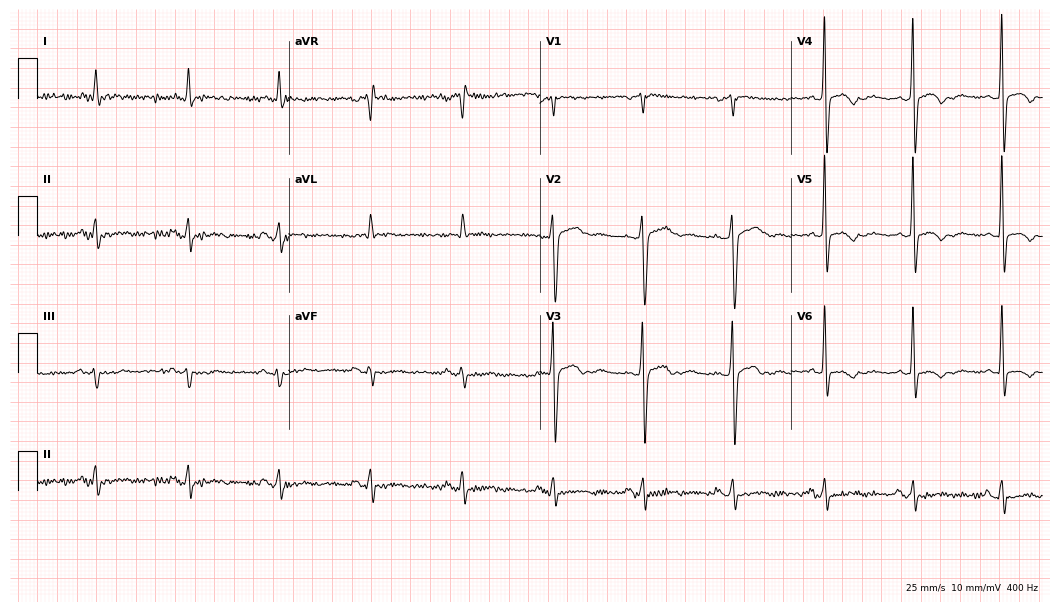
ECG — a man, 69 years old. Screened for six findings — first-degree AV block, right bundle branch block (RBBB), left bundle branch block (LBBB), sinus bradycardia, atrial fibrillation (AF), sinus tachycardia — none is recorded. Other findings, if any, are not listed.